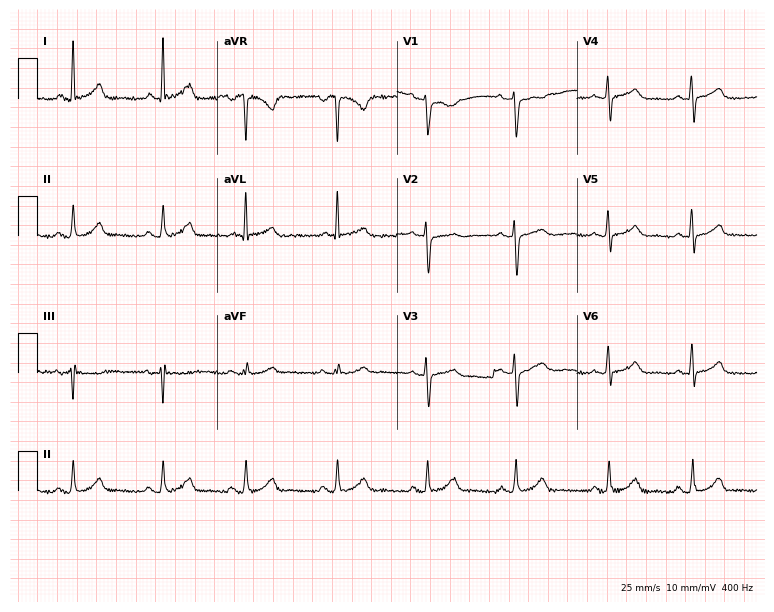
ECG (7.3-second recording at 400 Hz) — a 38-year-old female. Screened for six findings — first-degree AV block, right bundle branch block, left bundle branch block, sinus bradycardia, atrial fibrillation, sinus tachycardia — none is recorded.